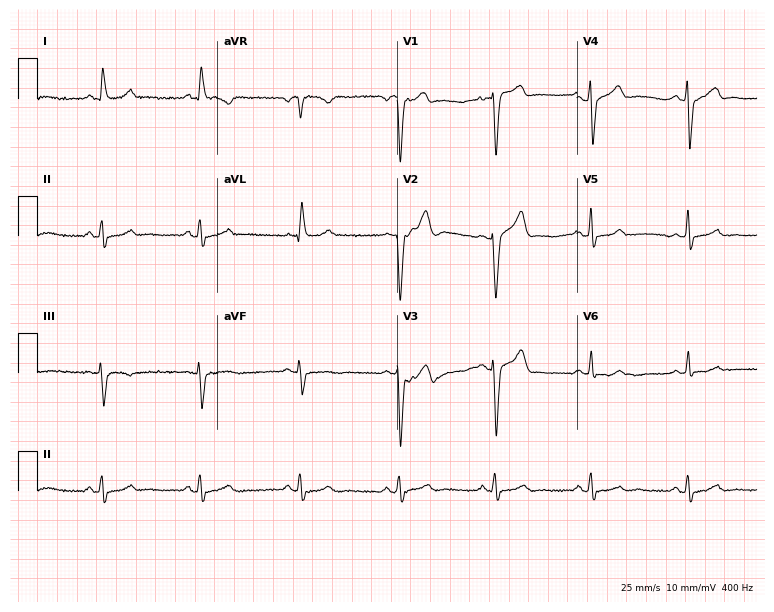
12-lead ECG from a 72-year-old man (7.3-second recording at 400 Hz). No first-degree AV block, right bundle branch block, left bundle branch block, sinus bradycardia, atrial fibrillation or sinus tachycardia recorded for this tracing. Only these six findings were labelled.